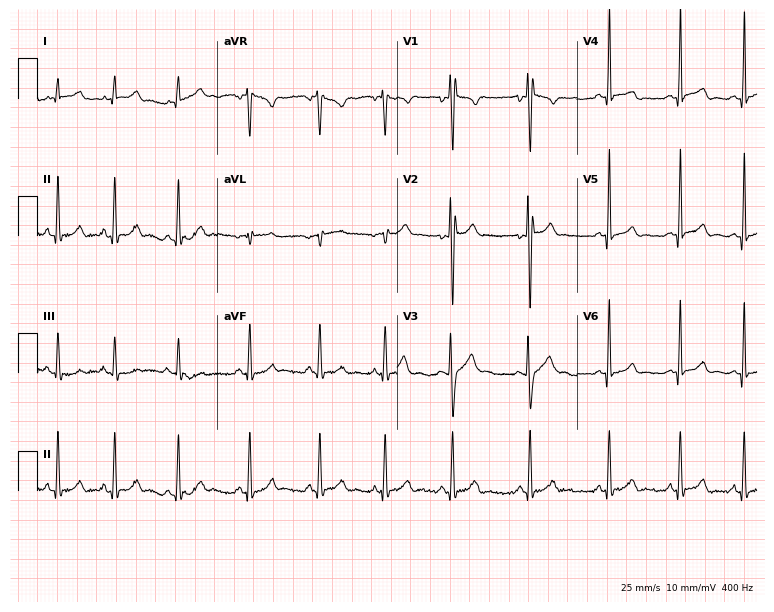
12-lead ECG from a 17-year-old male (7.3-second recording at 400 Hz). No first-degree AV block, right bundle branch block (RBBB), left bundle branch block (LBBB), sinus bradycardia, atrial fibrillation (AF) or sinus tachycardia recorded for this tracing.